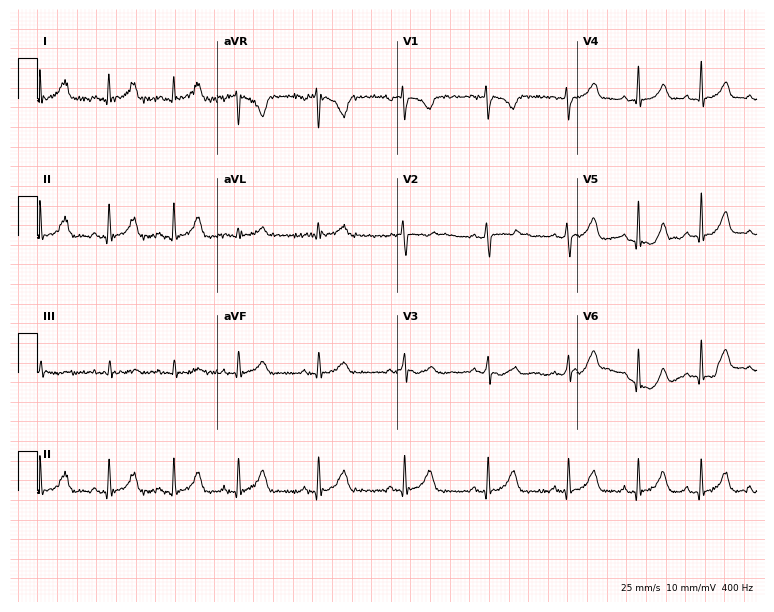
ECG (7.3-second recording at 400 Hz) — a 26-year-old female patient. Labelled as a normal ECG.